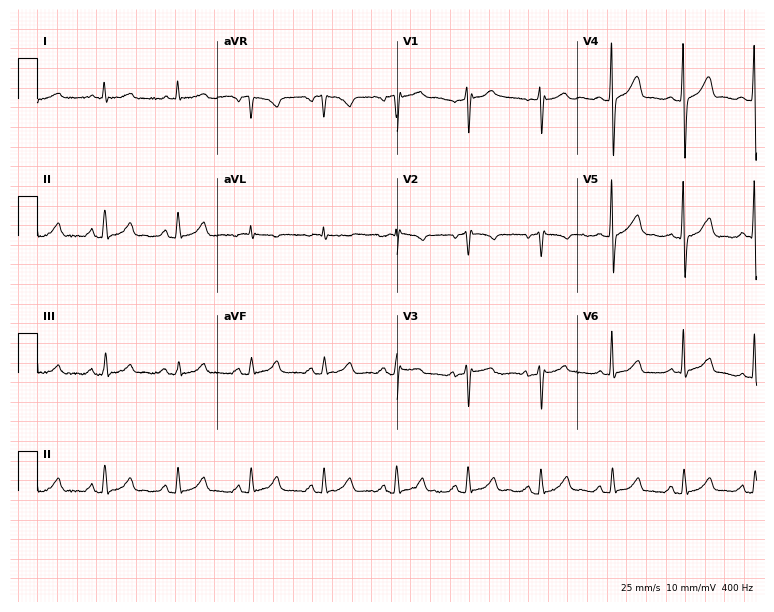
ECG — a 70-year-old woman. Labelled as a normal ECG.